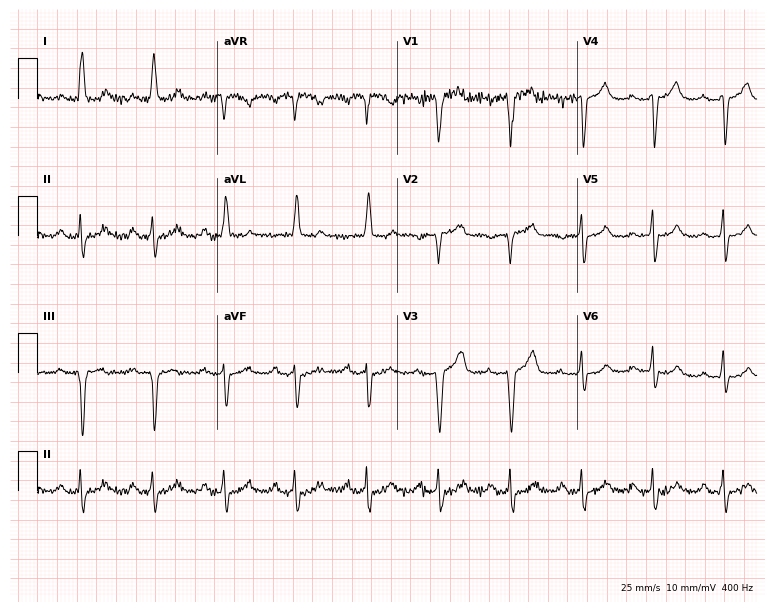
12-lead ECG from a 75-year-old female patient. Screened for six findings — first-degree AV block, right bundle branch block (RBBB), left bundle branch block (LBBB), sinus bradycardia, atrial fibrillation (AF), sinus tachycardia — none is recorded. Other findings, if any, are not listed.